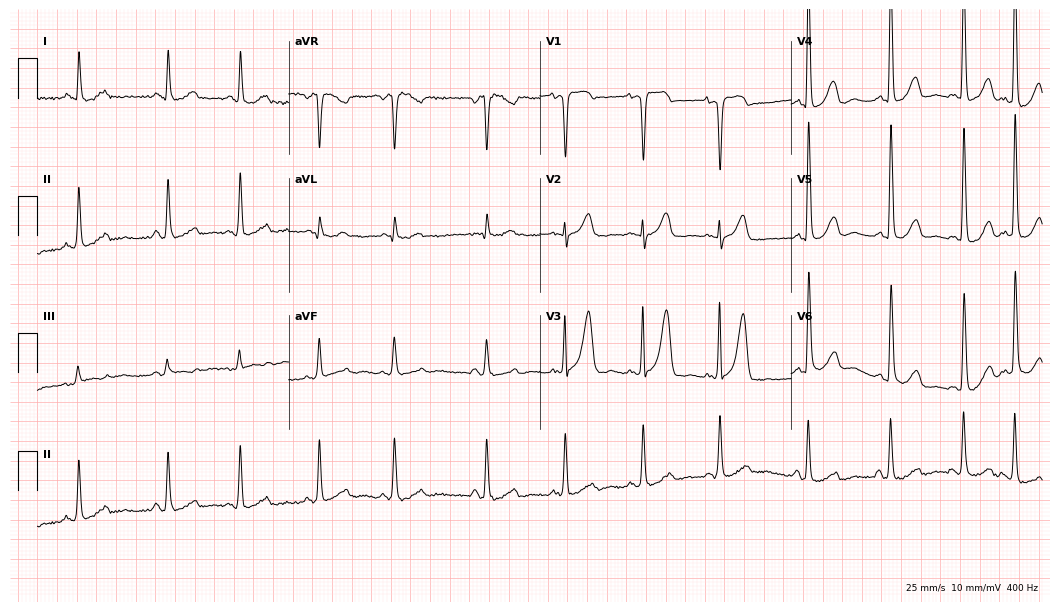
12-lead ECG from a female, 73 years old. Labelled as a normal ECG.